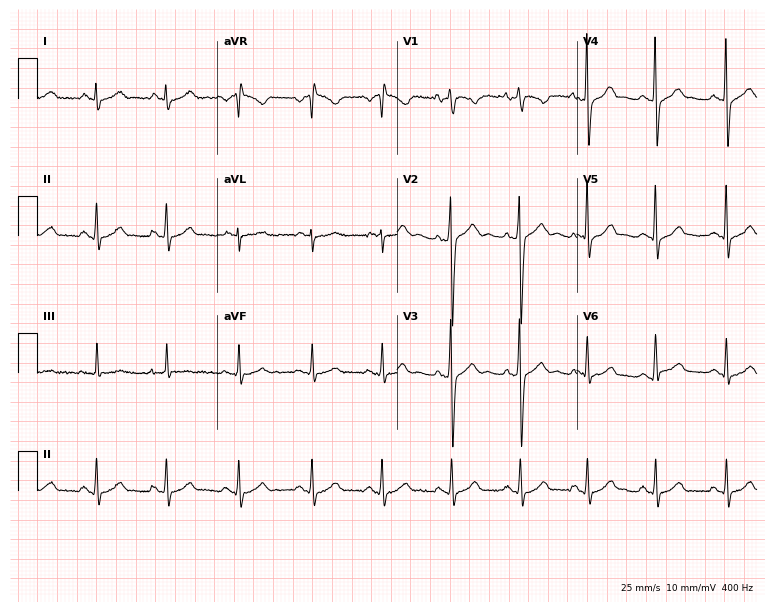
Resting 12-lead electrocardiogram. Patient: a male, 48 years old. None of these six findings is recorded: first-degree AV block, right bundle branch block, left bundle branch block, sinus bradycardia, atrial fibrillation, sinus tachycardia. Findings outside these six are not listed.